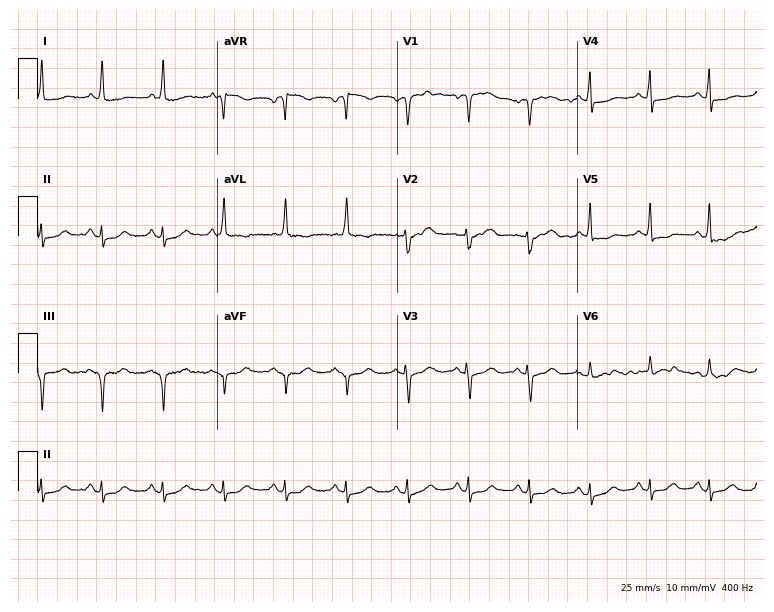
12-lead ECG from a female, 72 years old. Screened for six findings — first-degree AV block, right bundle branch block (RBBB), left bundle branch block (LBBB), sinus bradycardia, atrial fibrillation (AF), sinus tachycardia — none is recorded.